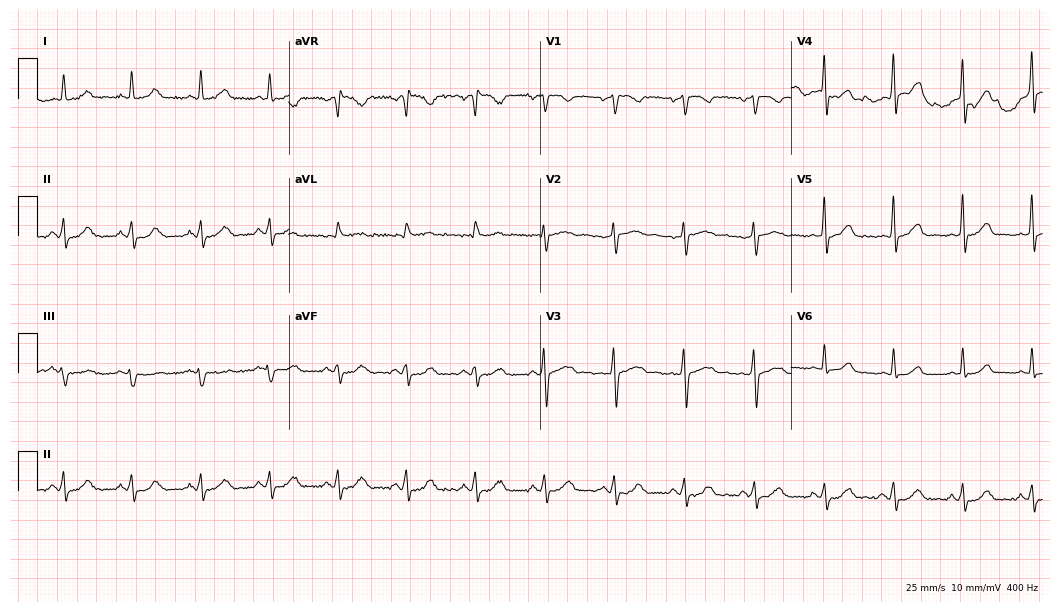
12-lead ECG from a woman, 45 years old. Recorded interpretation: within normal limits.